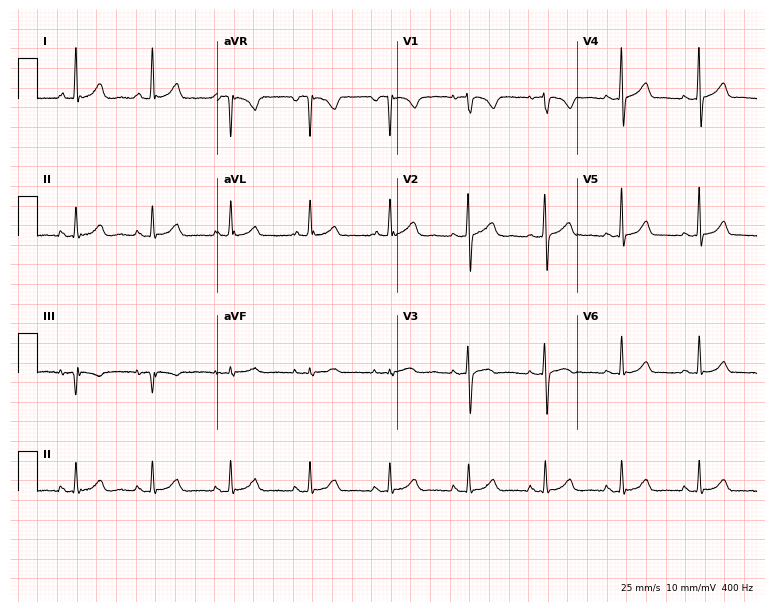
Standard 12-lead ECG recorded from a female patient, 61 years old (7.3-second recording at 400 Hz). Read as a normal ECG.